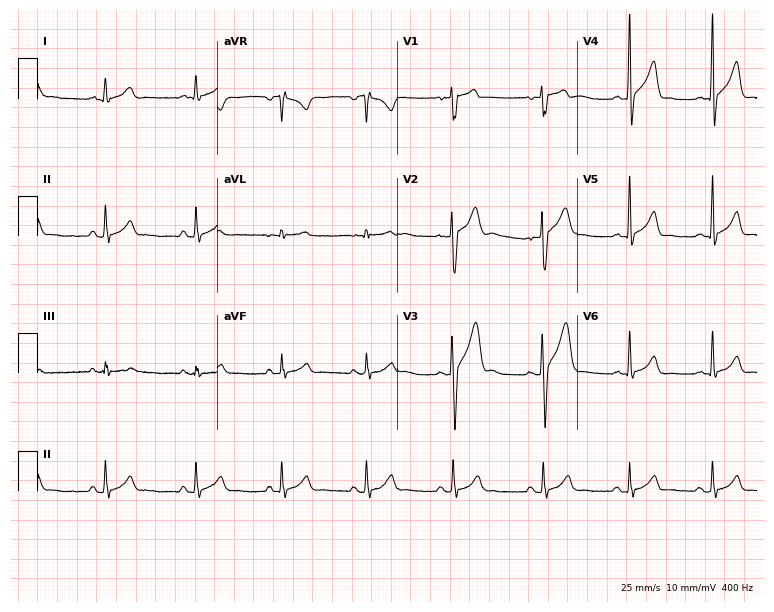
Electrocardiogram, a male, 27 years old. Of the six screened findings (first-degree AV block, right bundle branch block, left bundle branch block, sinus bradycardia, atrial fibrillation, sinus tachycardia), none is recorded.